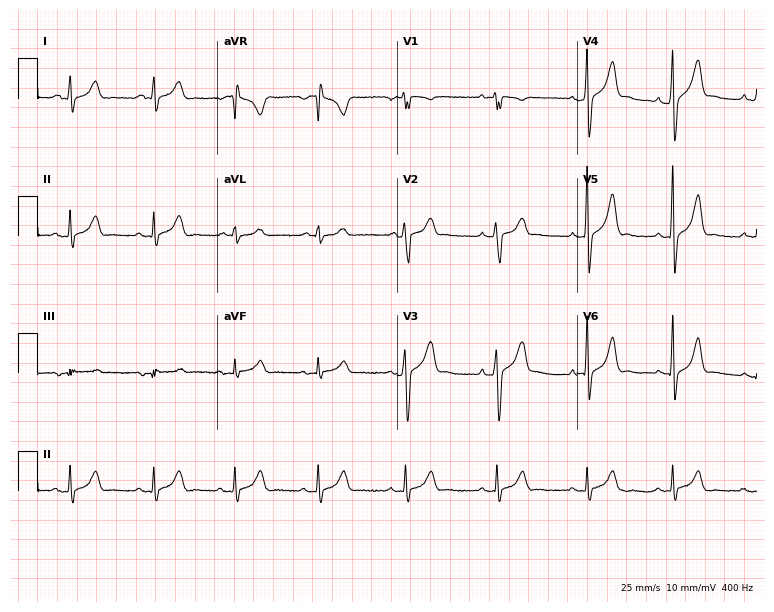
Electrocardiogram (7.3-second recording at 400 Hz), a male, 26 years old. Overall reading on record: normal ECG.